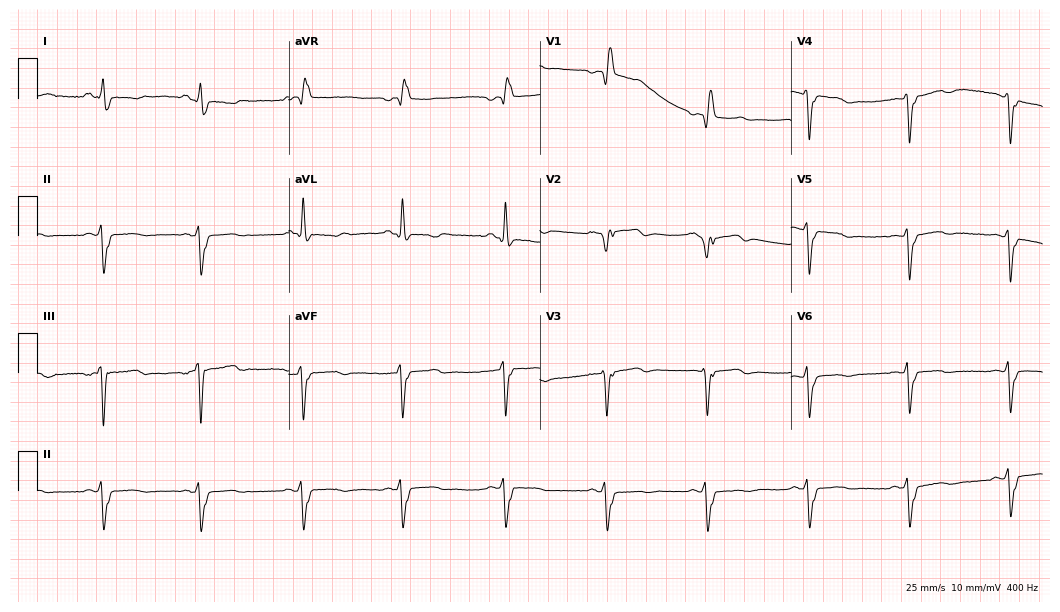
Resting 12-lead electrocardiogram. Patient: a female, 55 years old. The tracing shows right bundle branch block.